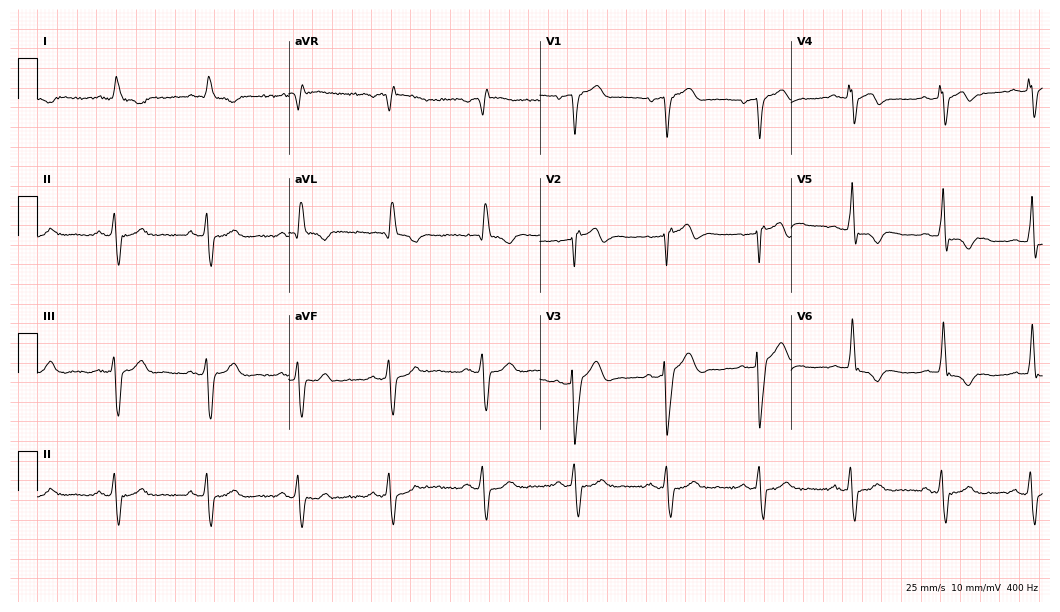
12-lead ECG from a male patient, 83 years old (10.2-second recording at 400 Hz). Shows right bundle branch block (RBBB).